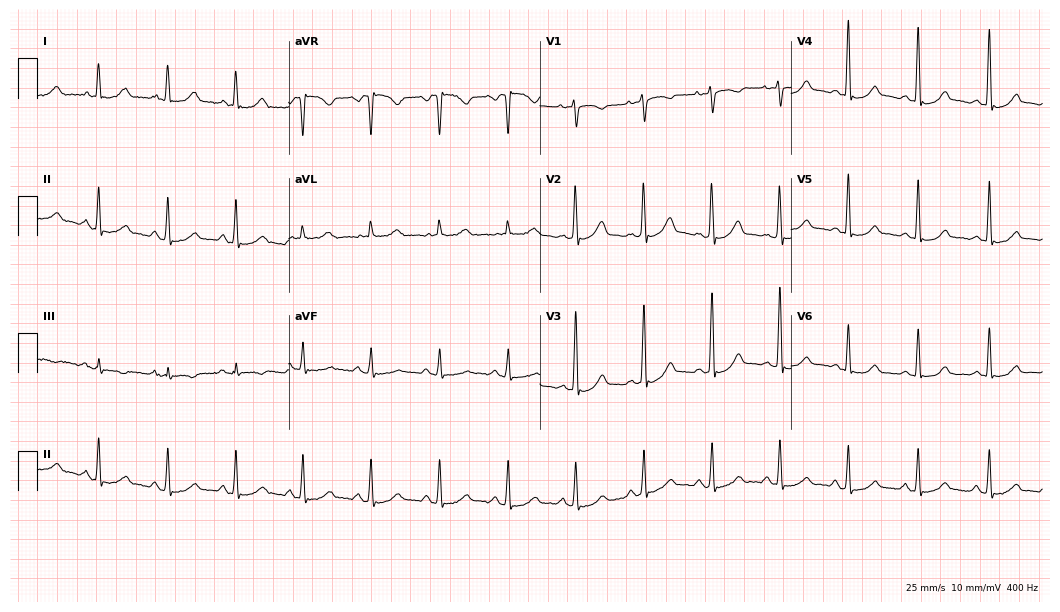
ECG (10.2-second recording at 400 Hz) — a 39-year-old female. Labelled as a normal ECG.